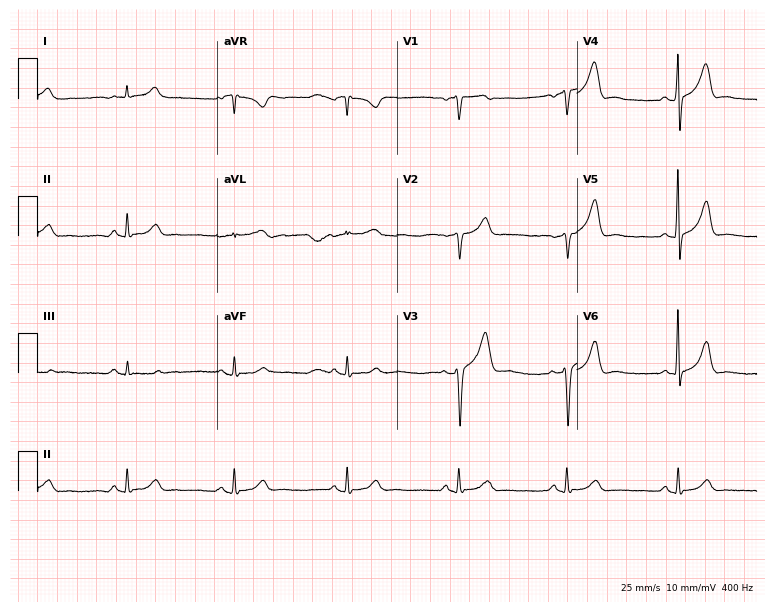
12-lead ECG from a male patient, 48 years old. Recorded interpretation: within normal limits.